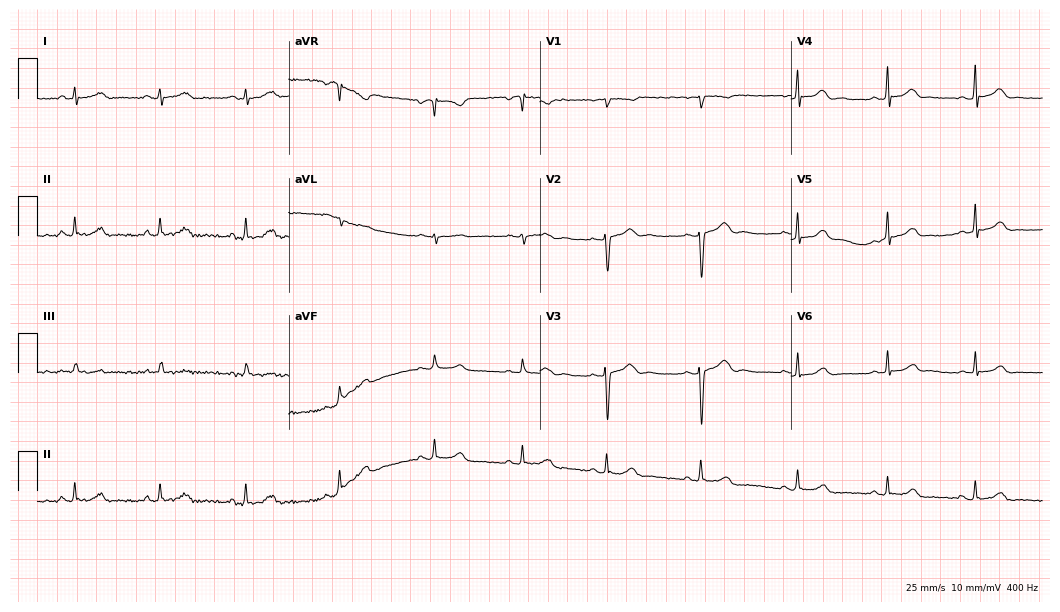
Standard 12-lead ECG recorded from an 18-year-old female (10.2-second recording at 400 Hz). None of these six findings is recorded: first-degree AV block, right bundle branch block, left bundle branch block, sinus bradycardia, atrial fibrillation, sinus tachycardia. Only these six findings were labelled.